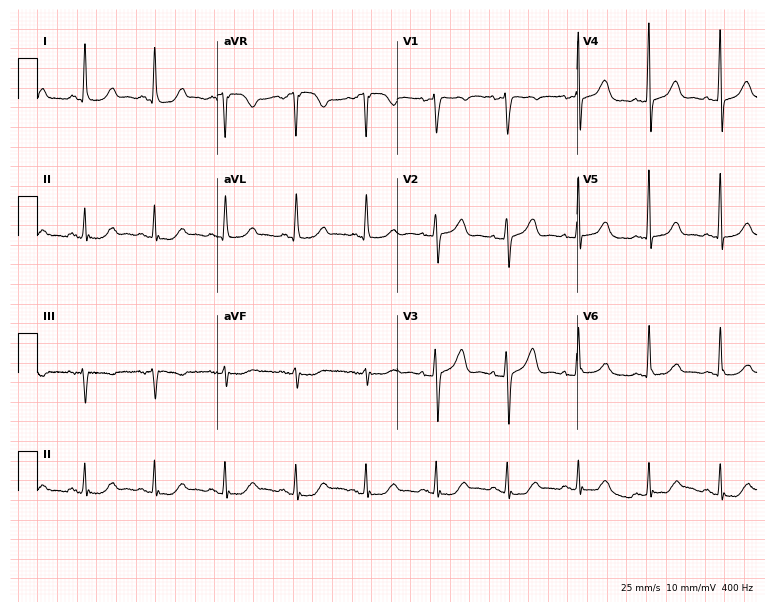
ECG — a 59-year-old woman. Labelled as a normal ECG.